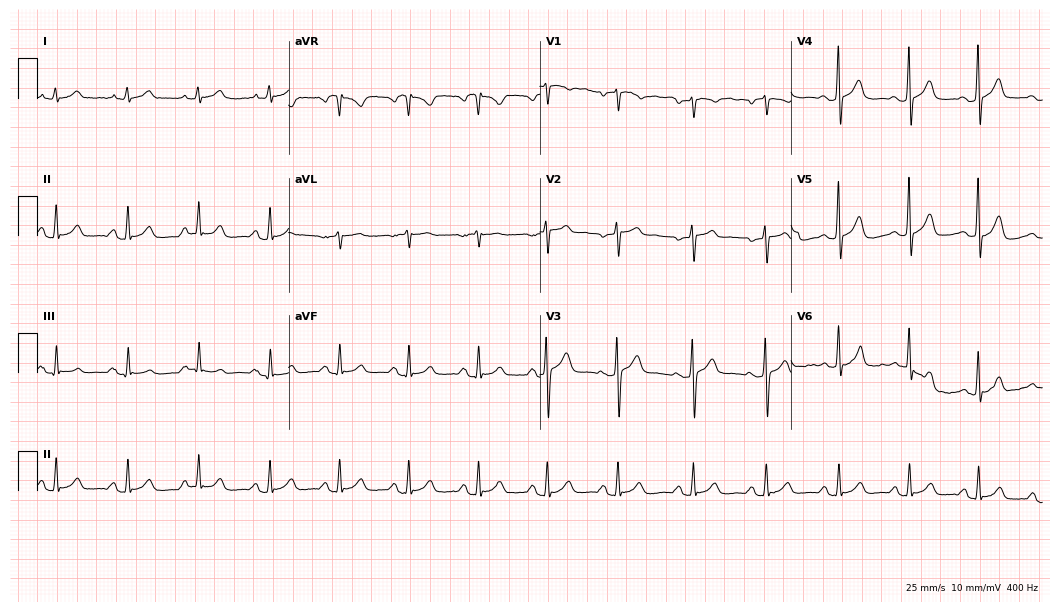
Standard 12-lead ECG recorded from a 51-year-old female patient (10.2-second recording at 400 Hz). Read as a normal ECG.